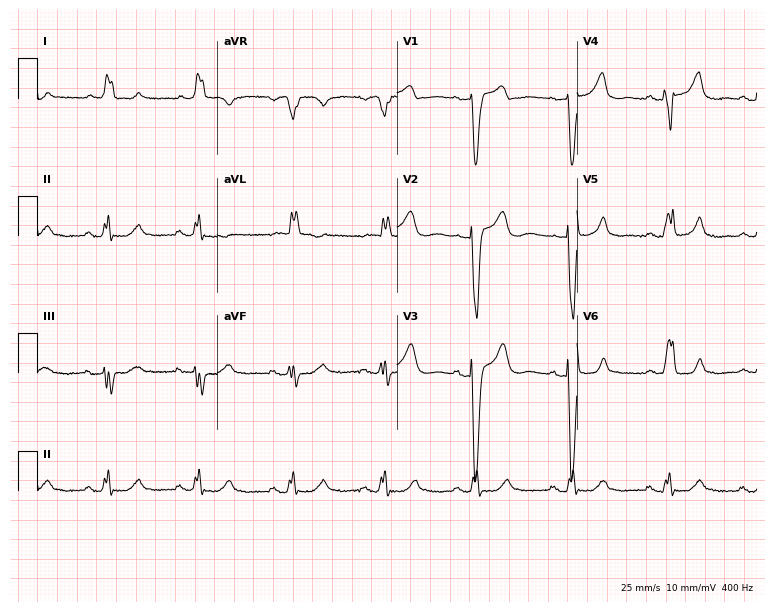
12-lead ECG from a female, 77 years old. Findings include left bundle branch block.